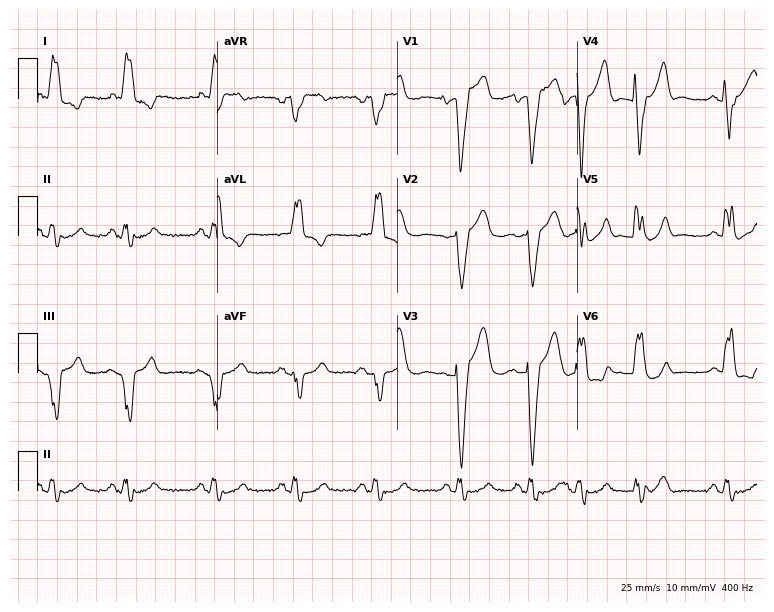
Resting 12-lead electrocardiogram (7.3-second recording at 400 Hz). Patient: a female, 88 years old. The tracing shows left bundle branch block.